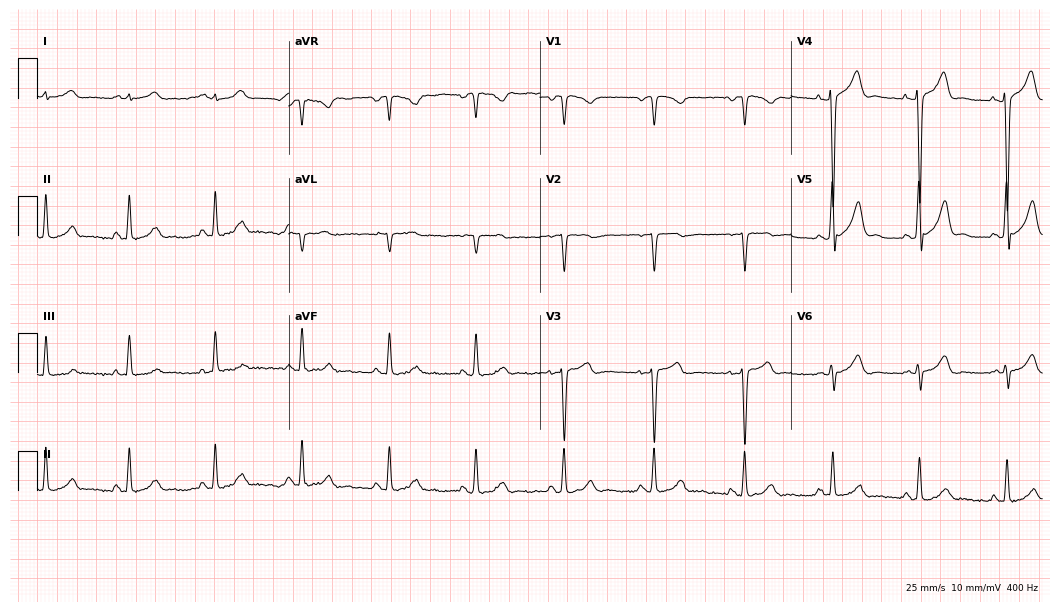
Resting 12-lead electrocardiogram. Patient: a 25-year-old male. None of these six findings is recorded: first-degree AV block, right bundle branch block, left bundle branch block, sinus bradycardia, atrial fibrillation, sinus tachycardia. Other findings, if any, are not listed.